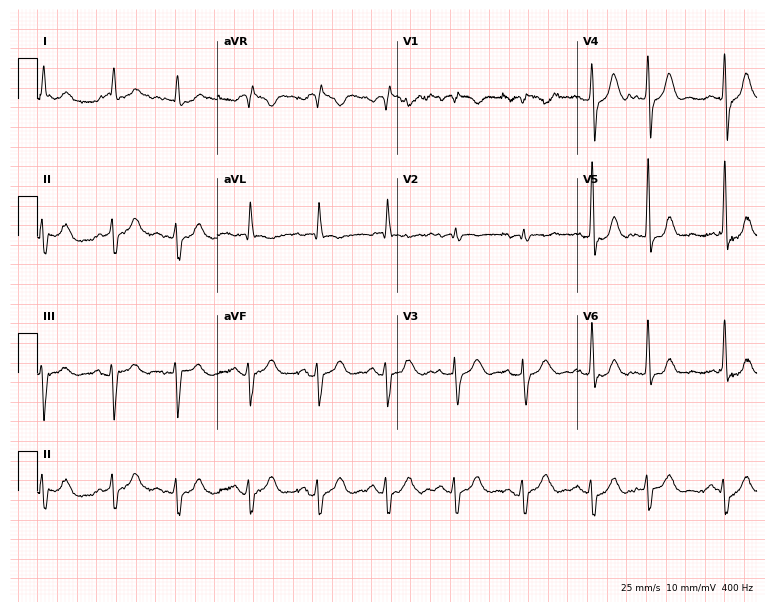
12-lead ECG from a male, 84 years old (7.3-second recording at 400 Hz). No first-degree AV block, right bundle branch block, left bundle branch block, sinus bradycardia, atrial fibrillation or sinus tachycardia recorded for this tracing. Only these six findings were labelled.